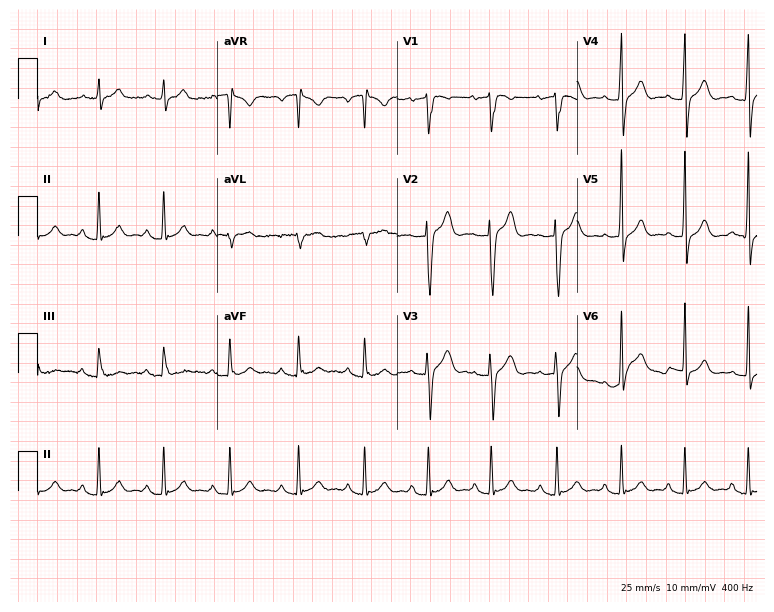
Electrocardiogram, a 25-year-old male. Of the six screened findings (first-degree AV block, right bundle branch block, left bundle branch block, sinus bradycardia, atrial fibrillation, sinus tachycardia), none is recorded. Only these six findings were labelled.